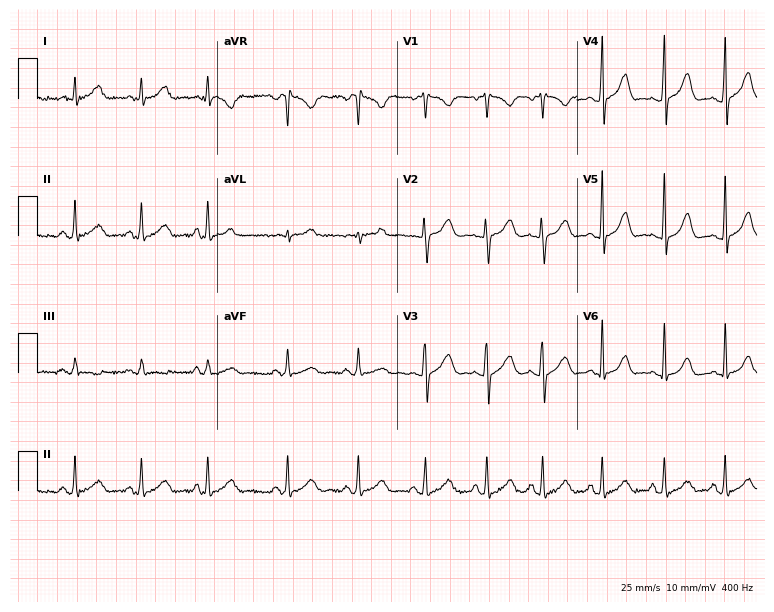
ECG (7.3-second recording at 400 Hz) — a female patient, 19 years old. Labelled as a normal ECG.